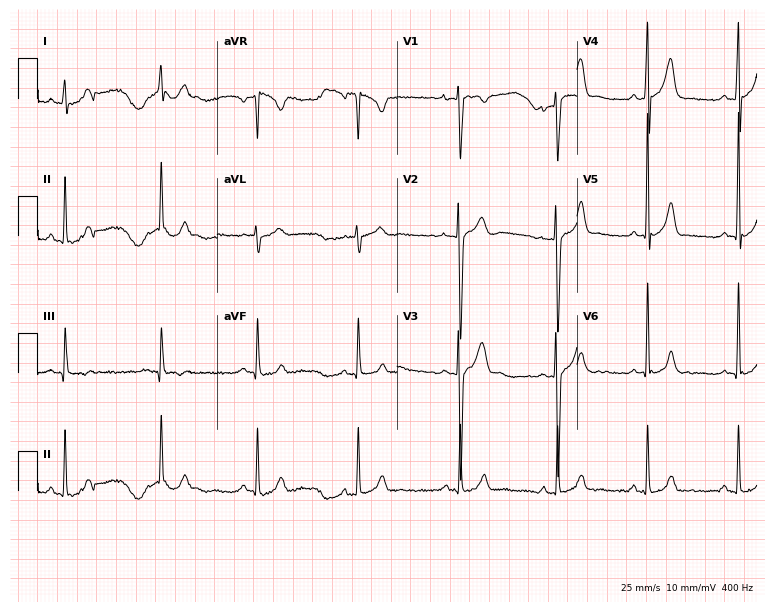
ECG — a male patient, 21 years old. Screened for six findings — first-degree AV block, right bundle branch block, left bundle branch block, sinus bradycardia, atrial fibrillation, sinus tachycardia — none is recorded. Other findings, if any, are not listed.